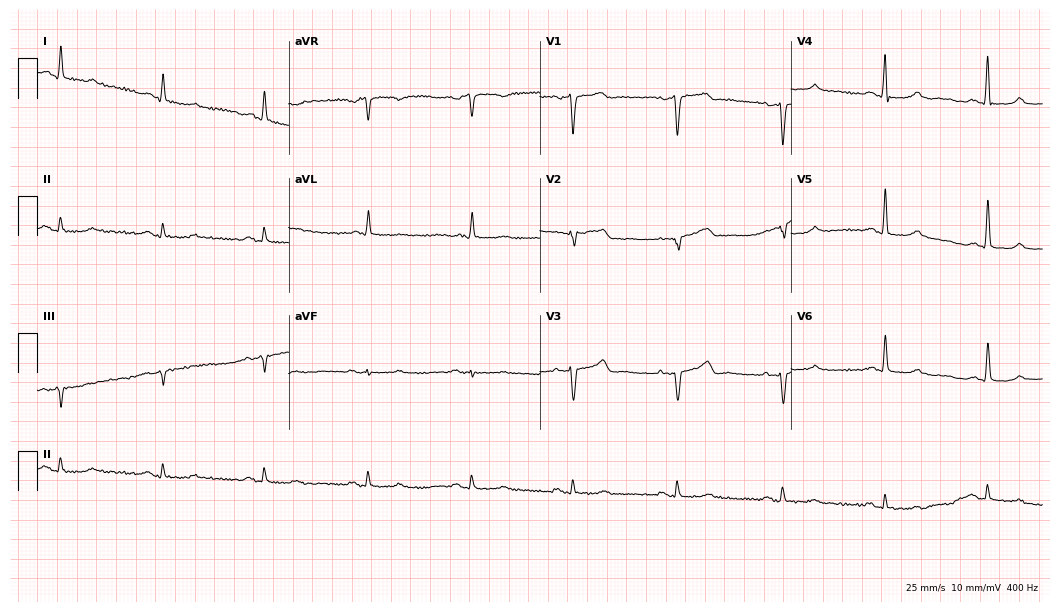
Standard 12-lead ECG recorded from a 62-year-old male patient (10.2-second recording at 400 Hz). Read as a normal ECG.